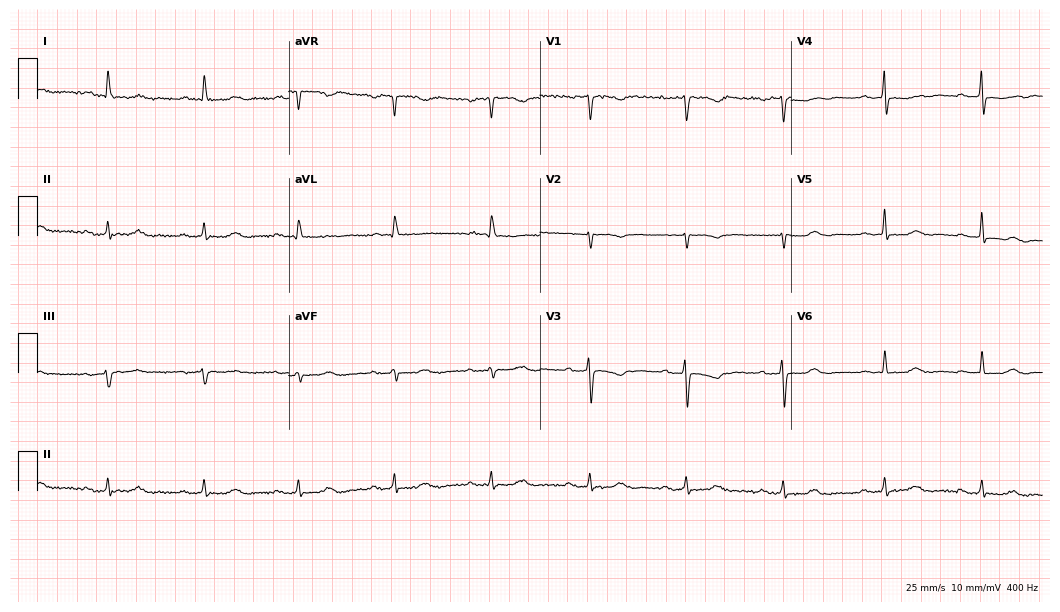
Standard 12-lead ECG recorded from a 69-year-old female patient (10.2-second recording at 400 Hz). None of these six findings is recorded: first-degree AV block, right bundle branch block (RBBB), left bundle branch block (LBBB), sinus bradycardia, atrial fibrillation (AF), sinus tachycardia.